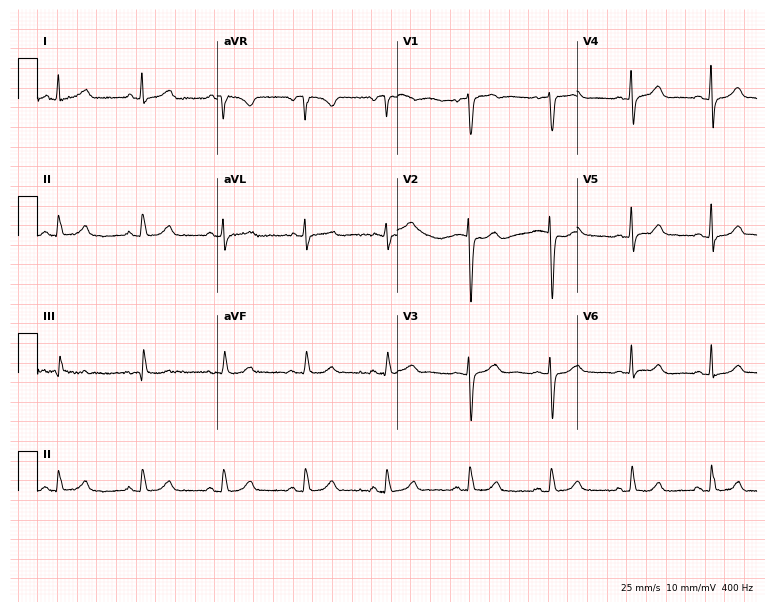
12-lead ECG from a 43-year-old woman. Labelled as a normal ECG.